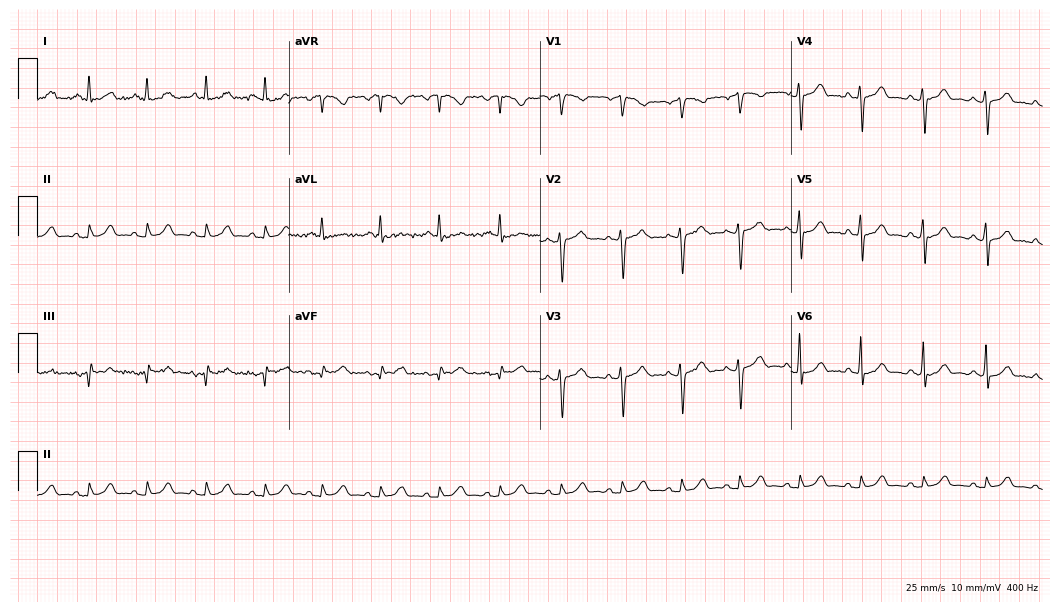
12-lead ECG (10.2-second recording at 400 Hz) from a male patient, 61 years old. Labelled as a normal ECG.